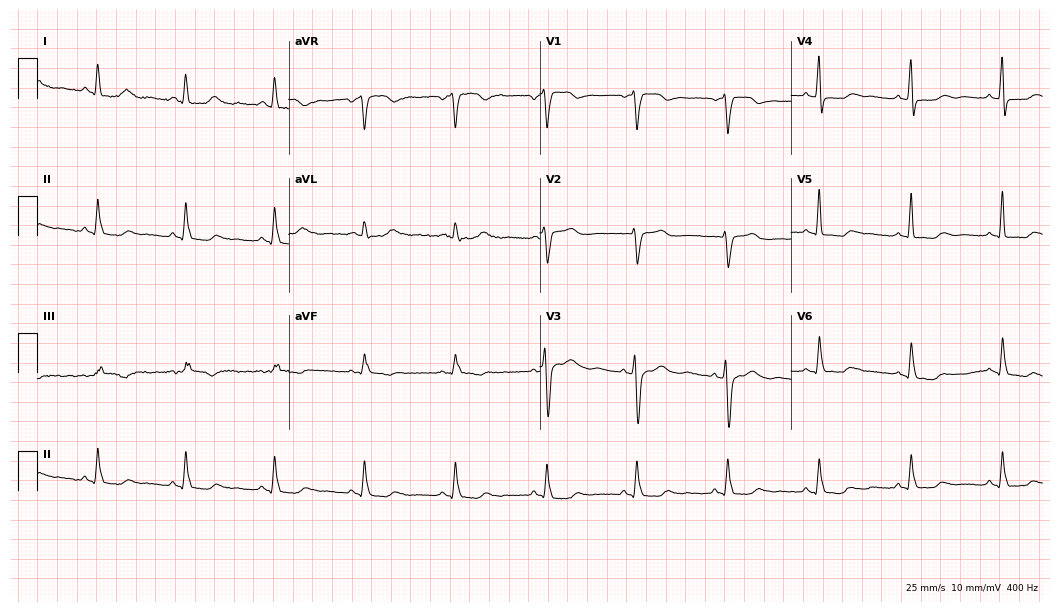
12-lead ECG from a woman, 53 years old. Screened for six findings — first-degree AV block, right bundle branch block (RBBB), left bundle branch block (LBBB), sinus bradycardia, atrial fibrillation (AF), sinus tachycardia — none is recorded. Findings outside these six are not listed.